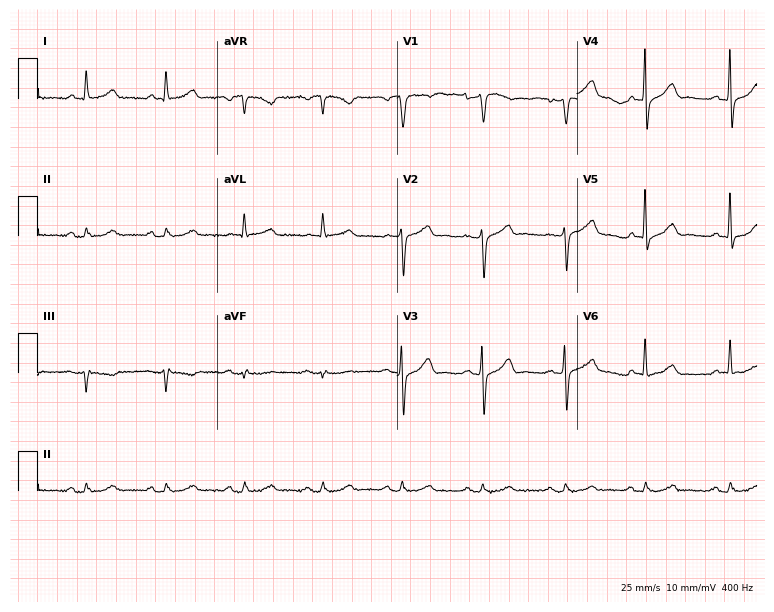
ECG — a 64-year-old male patient. Screened for six findings — first-degree AV block, right bundle branch block, left bundle branch block, sinus bradycardia, atrial fibrillation, sinus tachycardia — none is recorded. Findings outside these six are not listed.